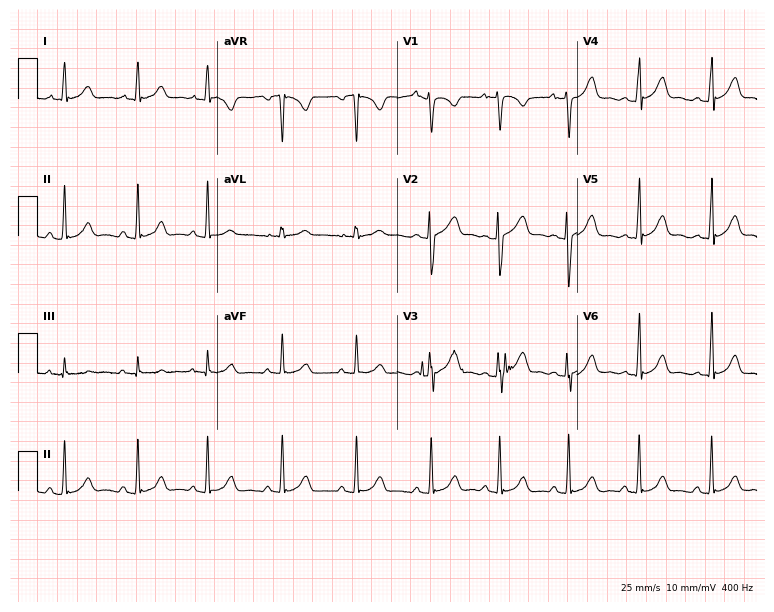
Electrocardiogram (7.3-second recording at 400 Hz), a woman, 21 years old. Of the six screened findings (first-degree AV block, right bundle branch block (RBBB), left bundle branch block (LBBB), sinus bradycardia, atrial fibrillation (AF), sinus tachycardia), none is recorded. Only these six findings were labelled.